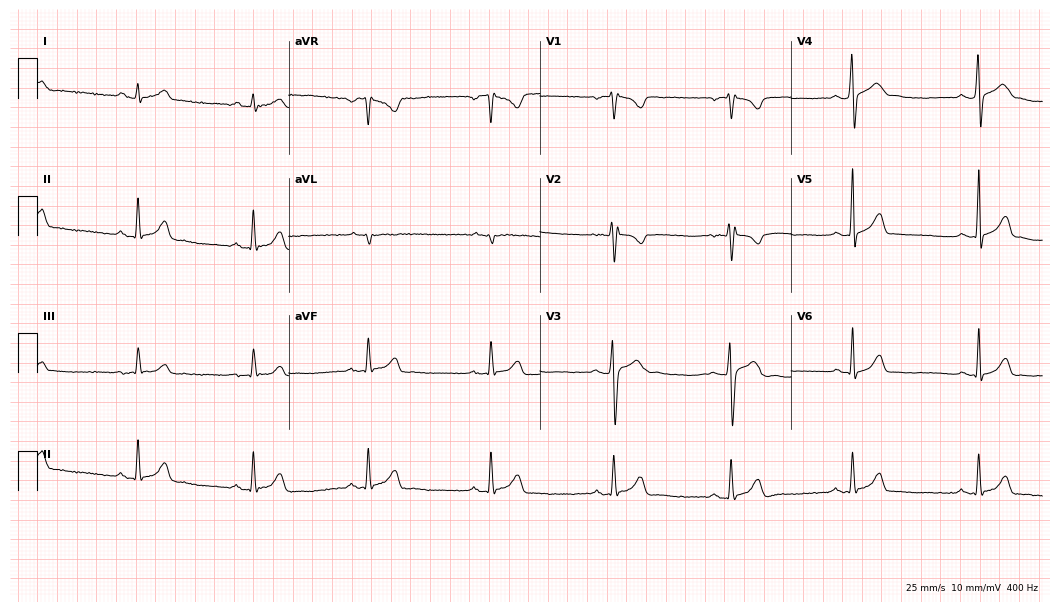
12-lead ECG from a male patient, 25 years old (10.2-second recording at 400 Hz). Recorded interpretation: within normal limits.